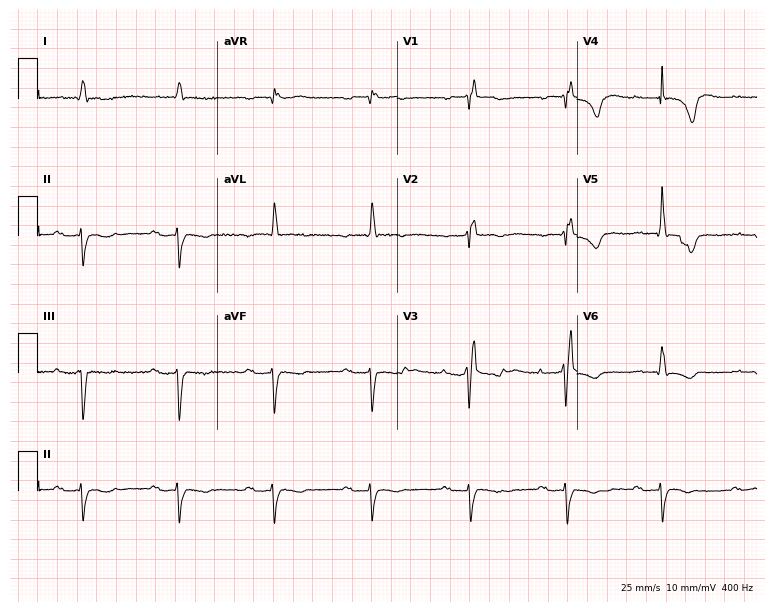
Resting 12-lead electrocardiogram. Patient: a man, 78 years old. None of these six findings is recorded: first-degree AV block, right bundle branch block, left bundle branch block, sinus bradycardia, atrial fibrillation, sinus tachycardia. Findings outside these six are not listed.